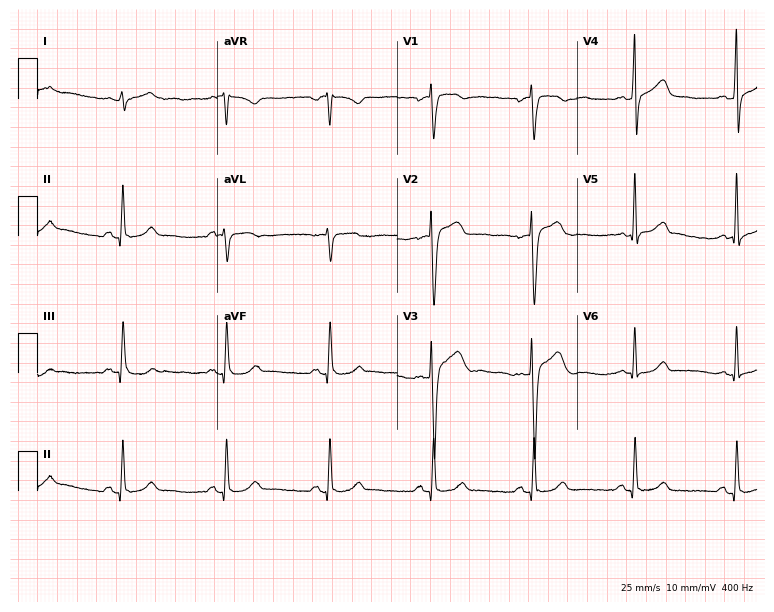
12-lead ECG from a 43-year-old man. Recorded interpretation: within normal limits.